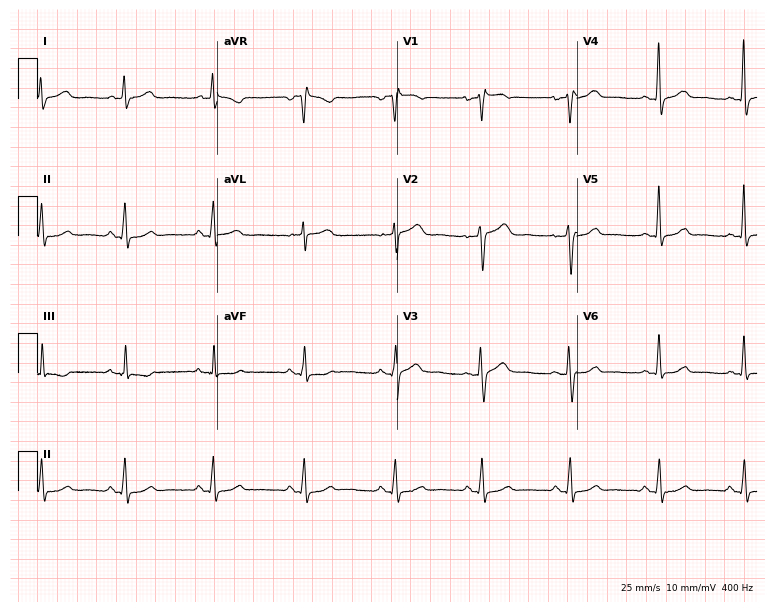
12-lead ECG (7.3-second recording at 400 Hz) from a woman, 56 years old. Labelled as a normal ECG.